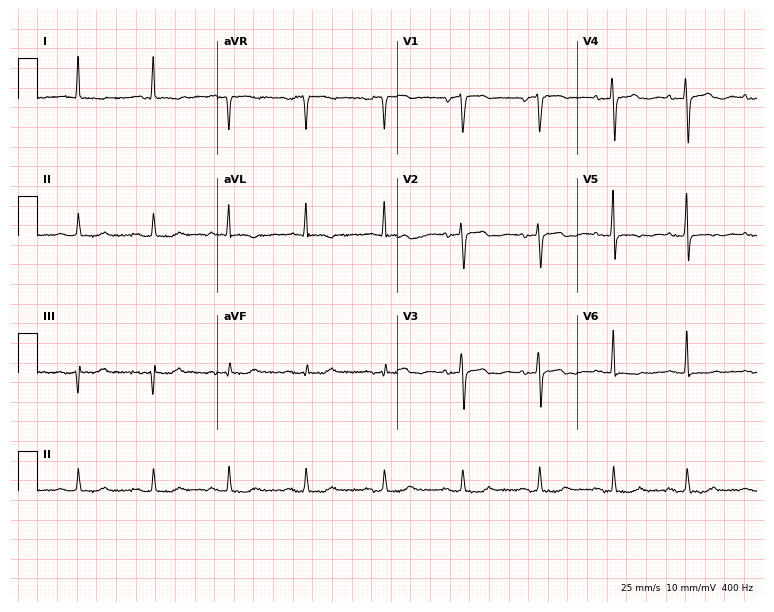
Standard 12-lead ECG recorded from an 84-year-old female patient (7.3-second recording at 400 Hz). None of these six findings is recorded: first-degree AV block, right bundle branch block, left bundle branch block, sinus bradycardia, atrial fibrillation, sinus tachycardia.